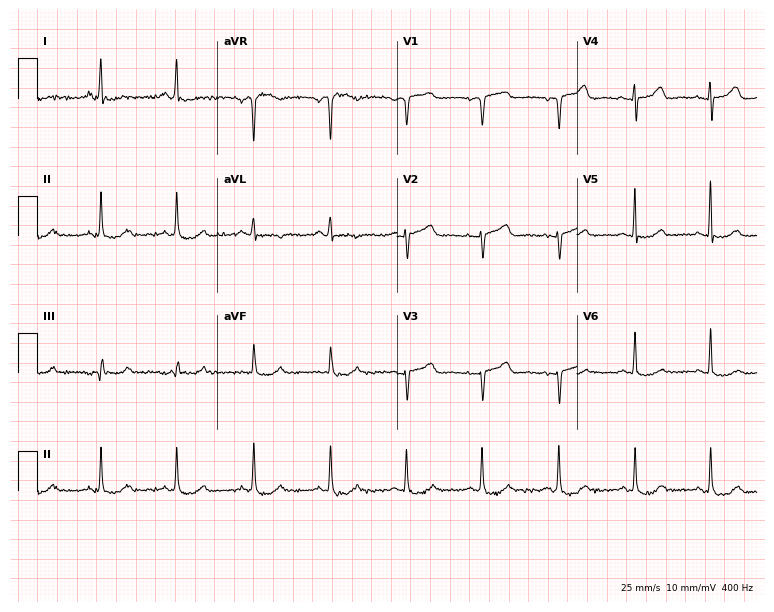
Standard 12-lead ECG recorded from a female, 76 years old. None of these six findings is recorded: first-degree AV block, right bundle branch block (RBBB), left bundle branch block (LBBB), sinus bradycardia, atrial fibrillation (AF), sinus tachycardia. Only these six findings were labelled.